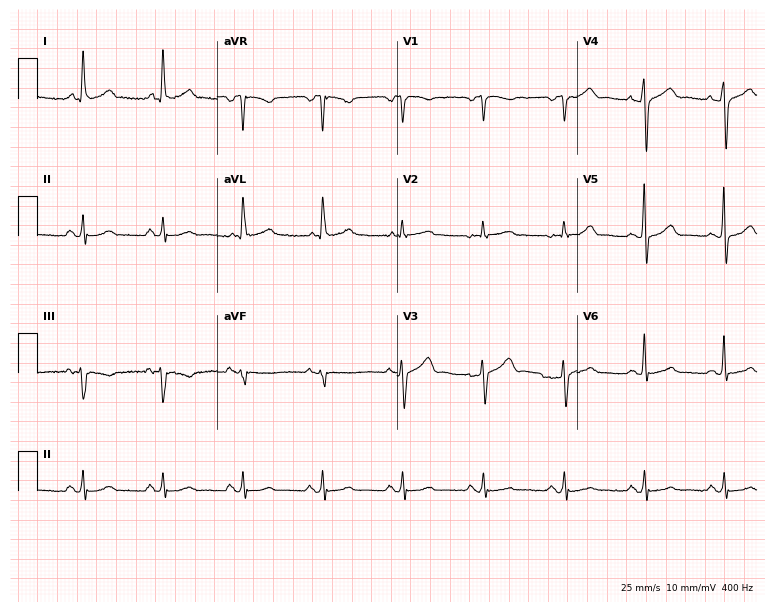
Resting 12-lead electrocardiogram. Patient: a male, 49 years old. None of these six findings is recorded: first-degree AV block, right bundle branch block, left bundle branch block, sinus bradycardia, atrial fibrillation, sinus tachycardia.